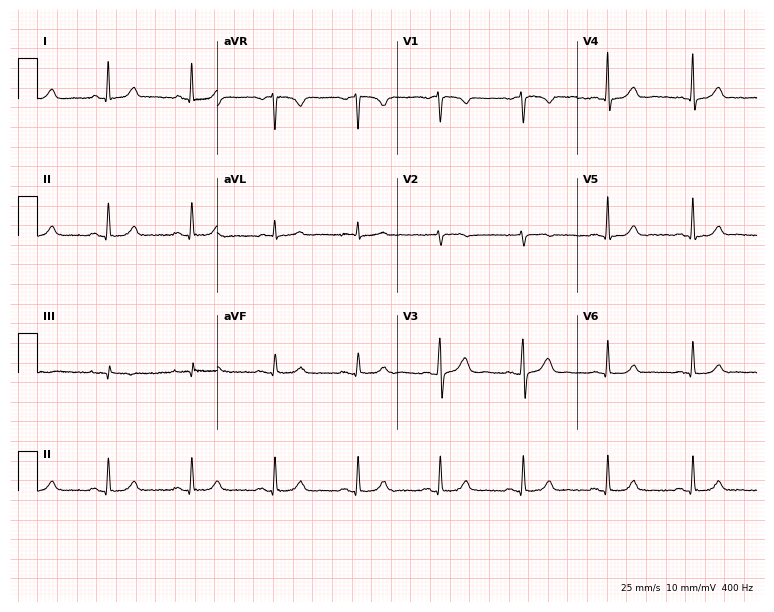
ECG (7.3-second recording at 400 Hz) — a woman, 46 years old. Labelled as a normal ECG.